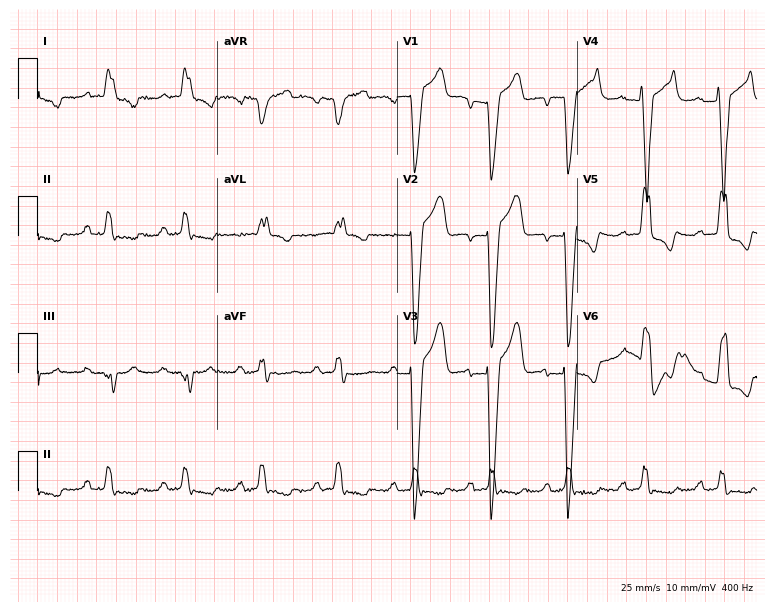
12-lead ECG (7.3-second recording at 400 Hz) from a 64-year-old male patient. Findings include first-degree AV block, left bundle branch block.